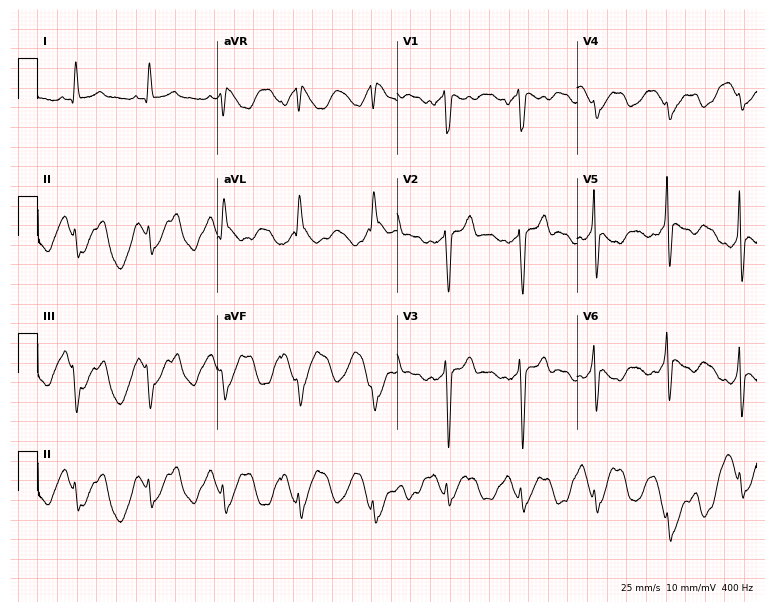
ECG (7.3-second recording at 400 Hz) — a man, 60 years old. Screened for six findings — first-degree AV block, right bundle branch block, left bundle branch block, sinus bradycardia, atrial fibrillation, sinus tachycardia — none is recorded. Findings outside these six are not listed.